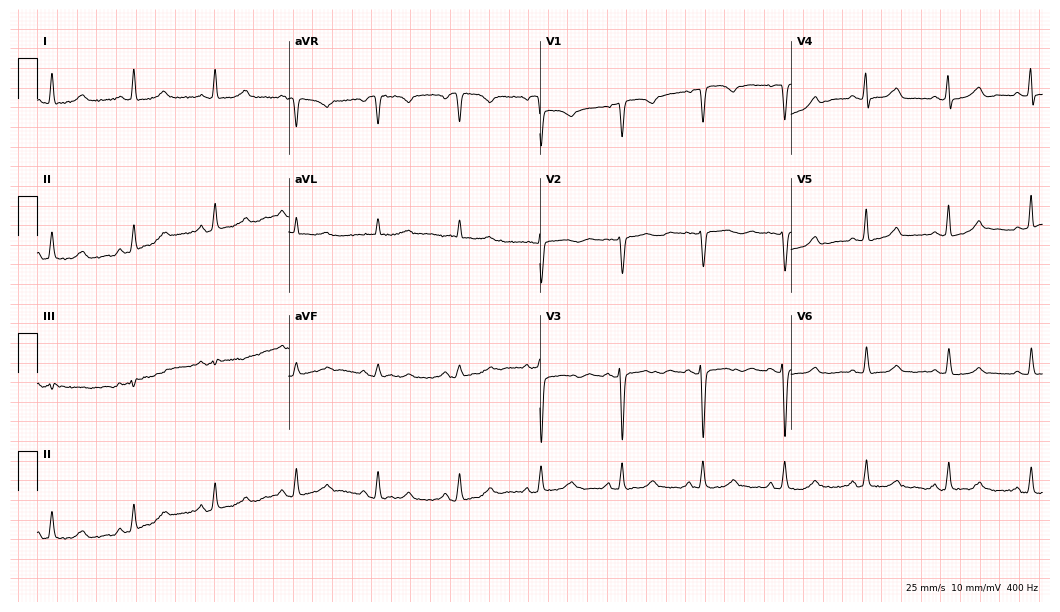
Electrocardiogram, a 32-year-old woman. Overall reading on record: normal ECG.